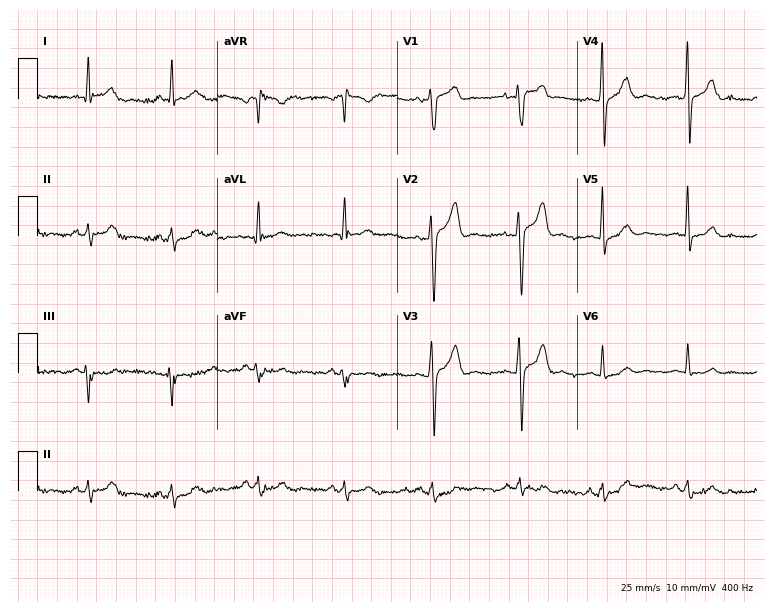
12-lead ECG from a male, 52 years old. Labelled as a normal ECG.